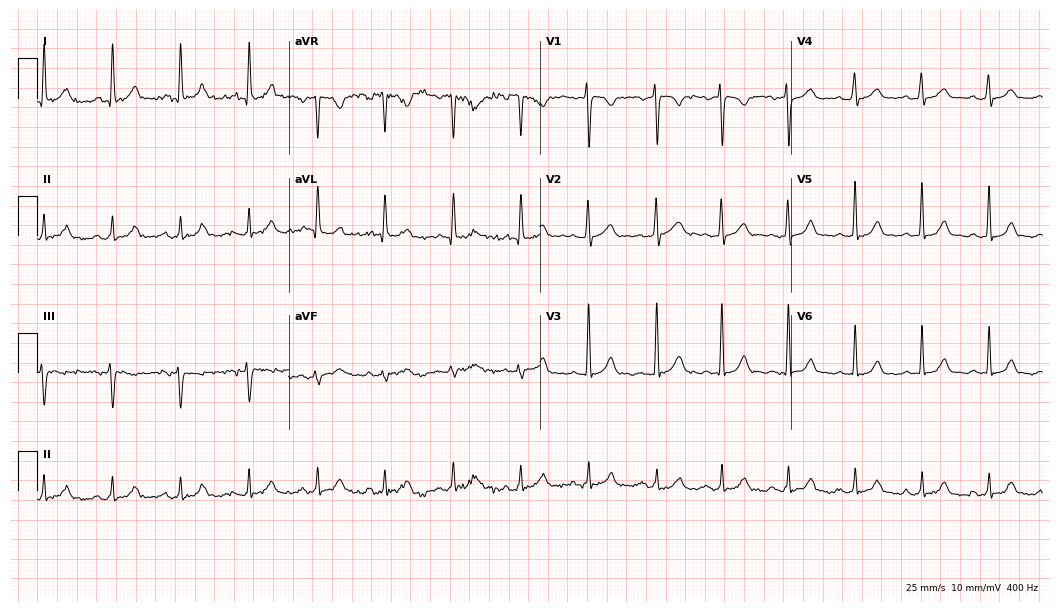
Electrocardiogram, a female, 42 years old. Of the six screened findings (first-degree AV block, right bundle branch block (RBBB), left bundle branch block (LBBB), sinus bradycardia, atrial fibrillation (AF), sinus tachycardia), none is recorded.